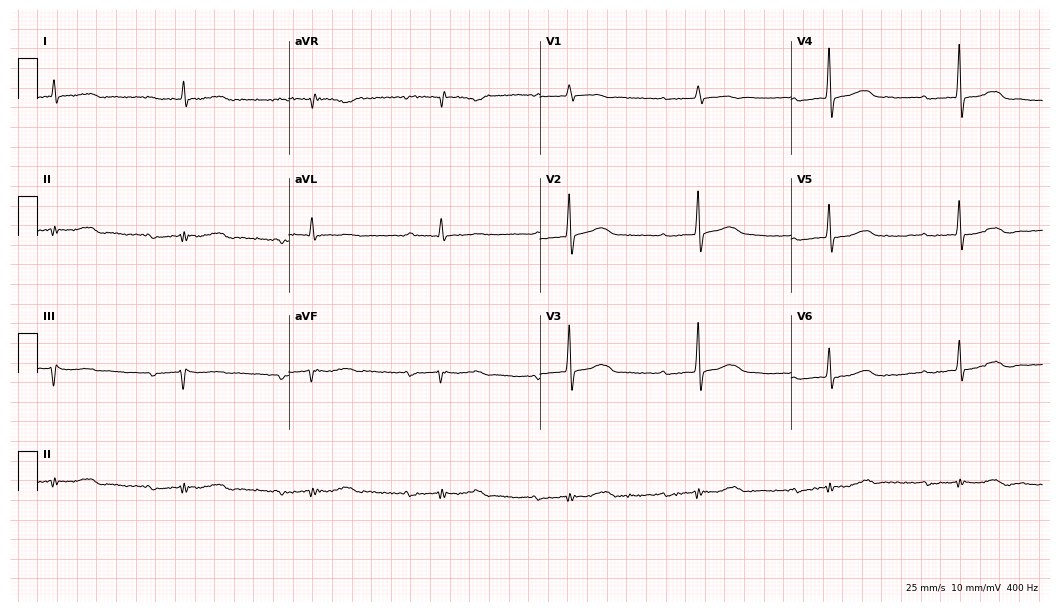
Resting 12-lead electrocardiogram. Patient: an 82-year-old male. The tracing shows first-degree AV block, sinus bradycardia (a sinus rate of 50 beats per minute or less).